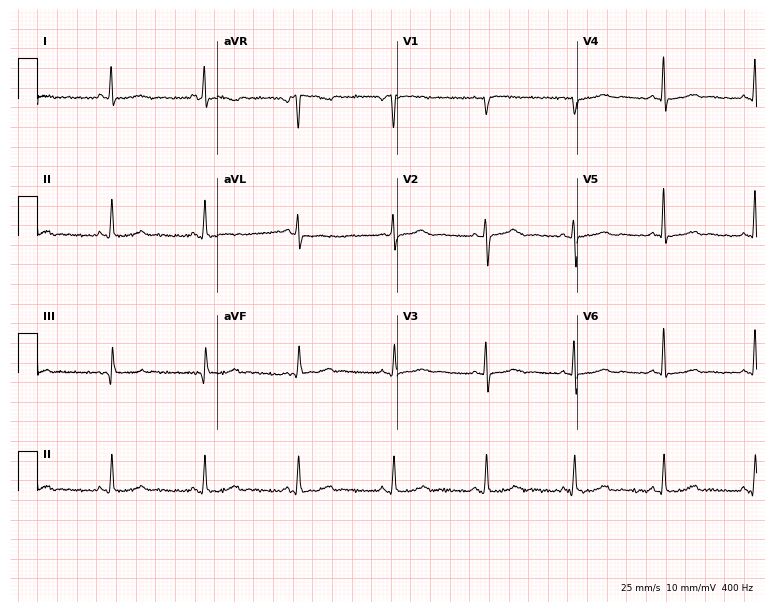
Resting 12-lead electrocardiogram (7.3-second recording at 400 Hz). Patient: a 47-year-old female. None of these six findings is recorded: first-degree AV block, right bundle branch block (RBBB), left bundle branch block (LBBB), sinus bradycardia, atrial fibrillation (AF), sinus tachycardia.